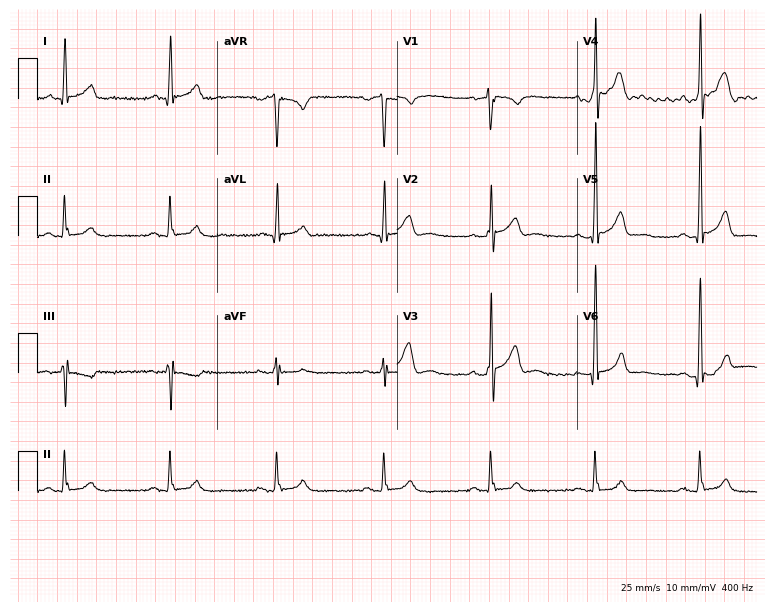
Resting 12-lead electrocardiogram (7.3-second recording at 400 Hz). Patient: a man, 53 years old. Read as a normal ECG.